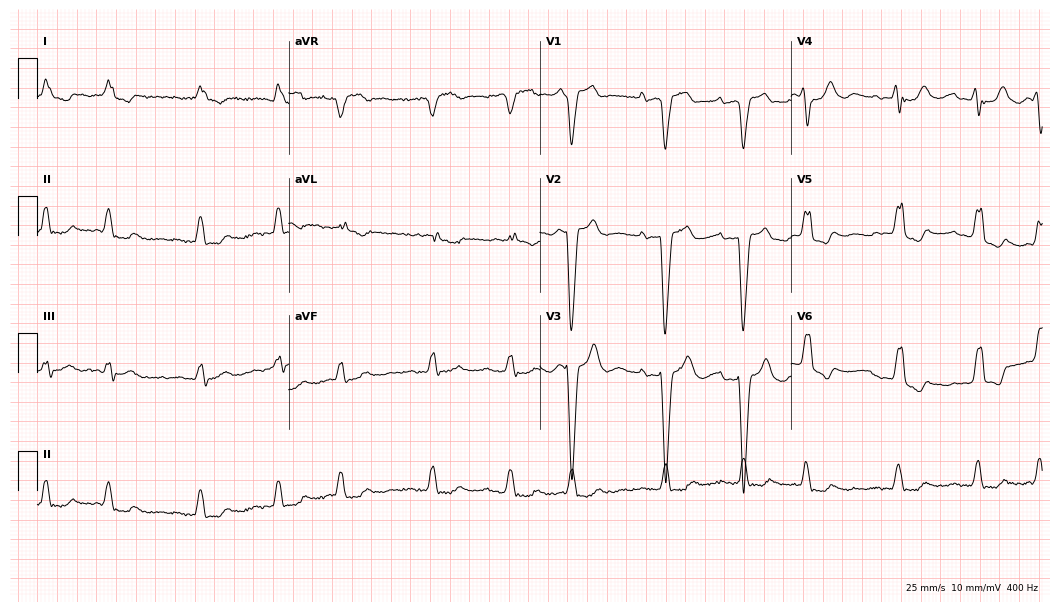
Resting 12-lead electrocardiogram. Patient: an 80-year-old female. The tracing shows left bundle branch block, atrial fibrillation.